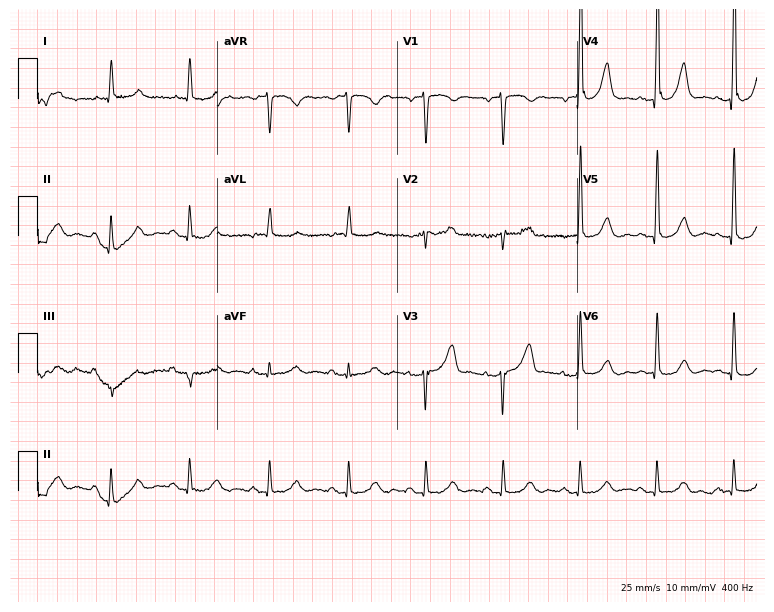
12-lead ECG from a 59-year-old man (7.3-second recording at 400 Hz). Recorded interpretation: within normal limits.